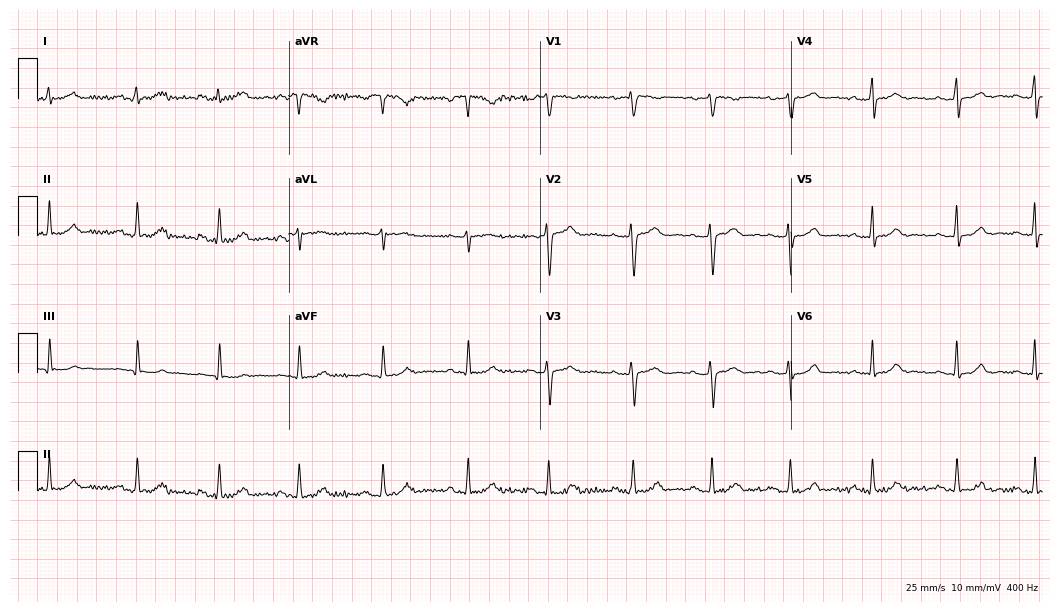
12-lead ECG from a 24-year-old female. Recorded interpretation: within normal limits.